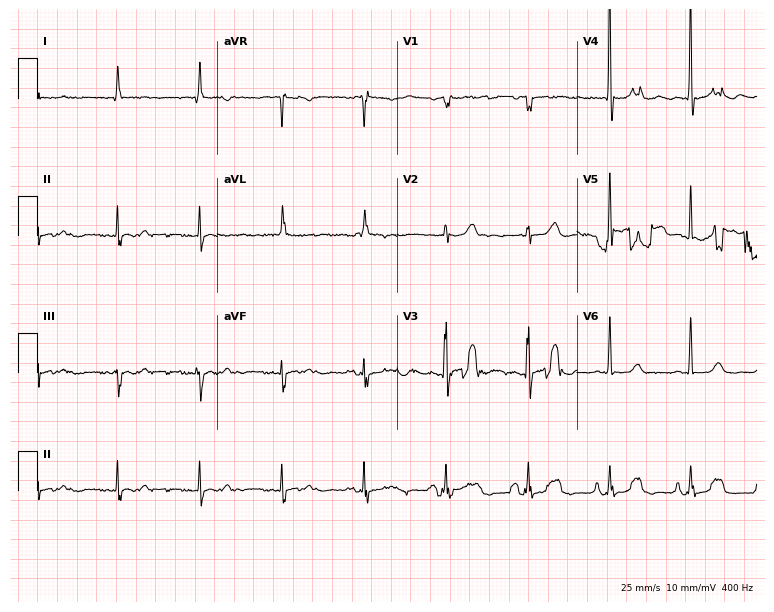
12-lead ECG (7.3-second recording at 400 Hz) from a 55-year-old male. Screened for six findings — first-degree AV block, right bundle branch block, left bundle branch block, sinus bradycardia, atrial fibrillation, sinus tachycardia — none is recorded. Findings outside these six are not listed.